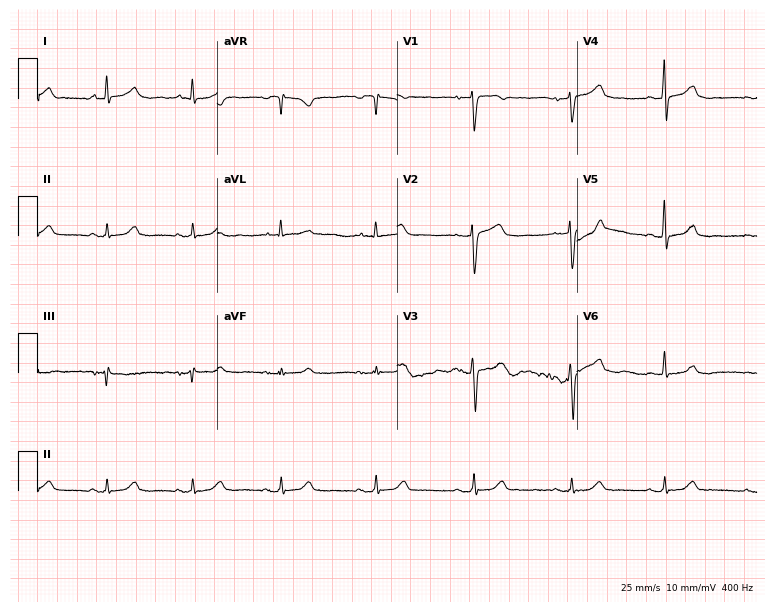
Resting 12-lead electrocardiogram. Patient: a 47-year-old female. None of these six findings is recorded: first-degree AV block, right bundle branch block (RBBB), left bundle branch block (LBBB), sinus bradycardia, atrial fibrillation (AF), sinus tachycardia.